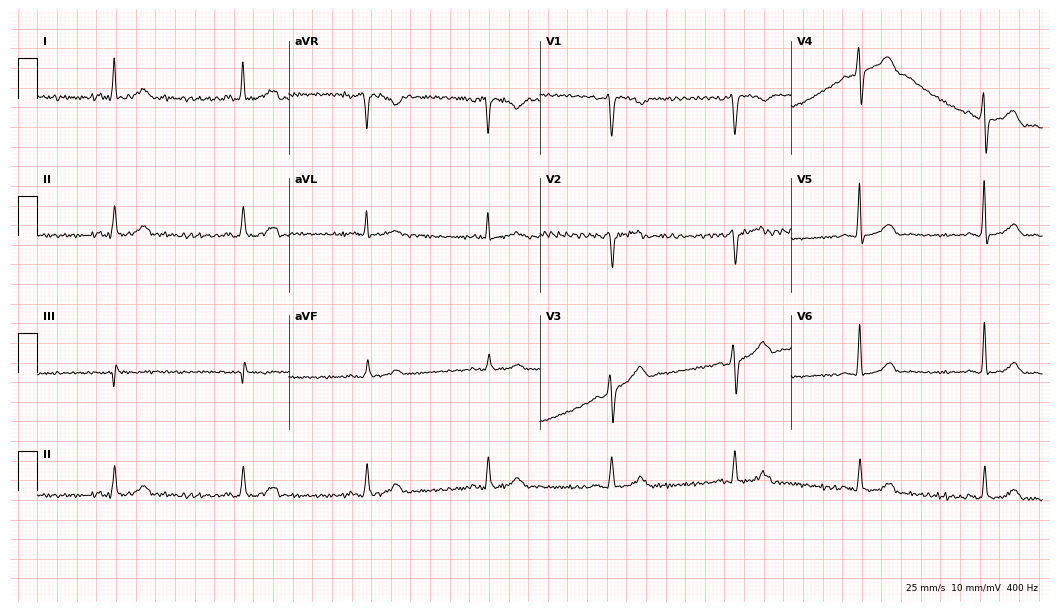
Electrocardiogram (10.2-second recording at 400 Hz), a male, 59 years old. Of the six screened findings (first-degree AV block, right bundle branch block, left bundle branch block, sinus bradycardia, atrial fibrillation, sinus tachycardia), none is recorded.